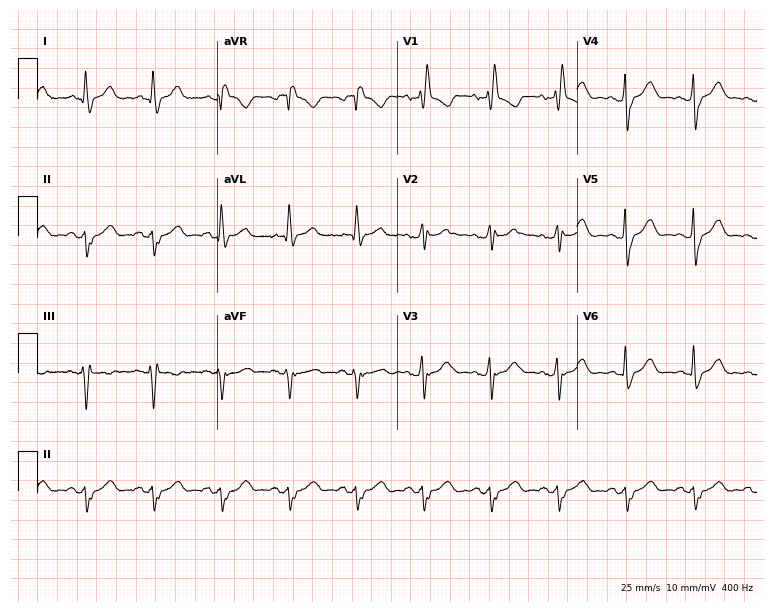
12-lead ECG (7.3-second recording at 400 Hz) from a male, 78 years old. Findings include right bundle branch block (RBBB).